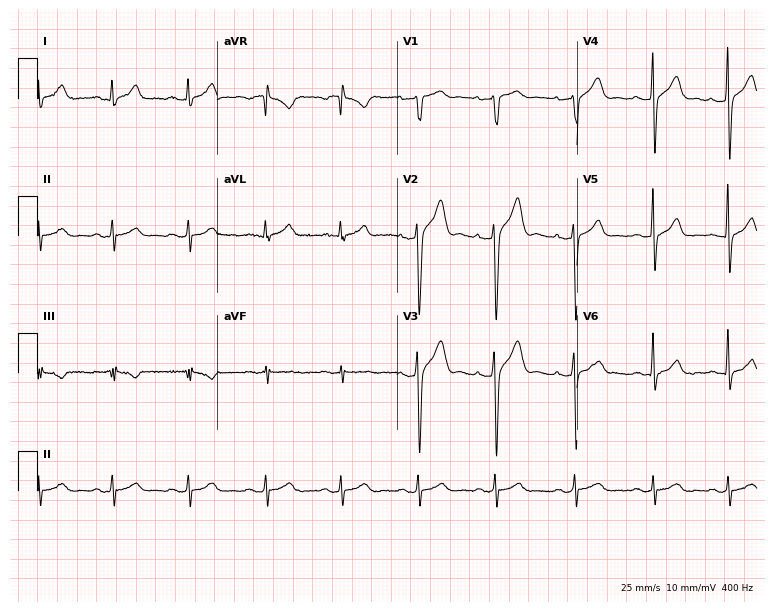
Standard 12-lead ECG recorded from a 26-year-old male (7.3-second recording at 400 Hz). Read as a normal ECG.